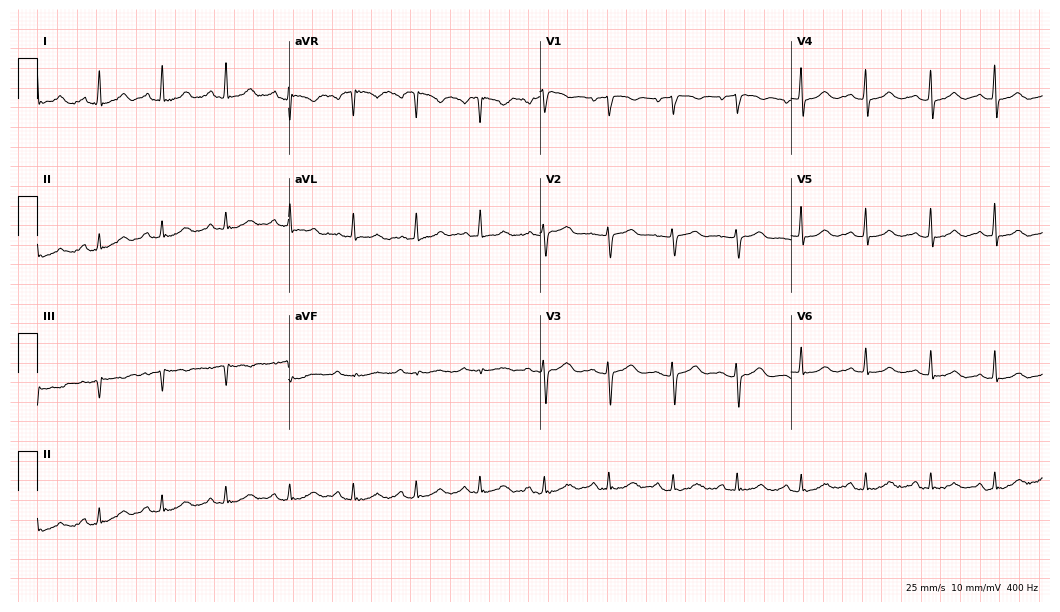
Electrocardiogram, a 71-year-old female patient. Overall reading on record: normal ECG.